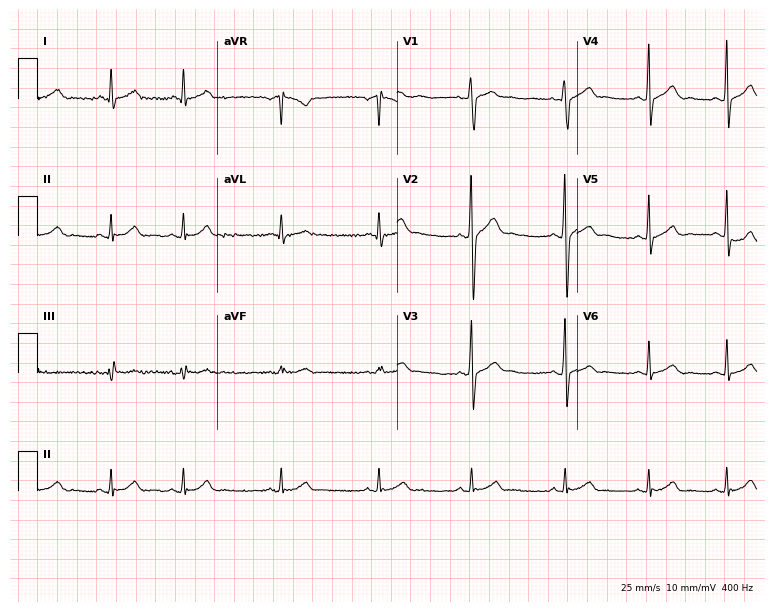
Standard 12-lead ECG recorded from a 27-year-old male. Read as a normal ECG.